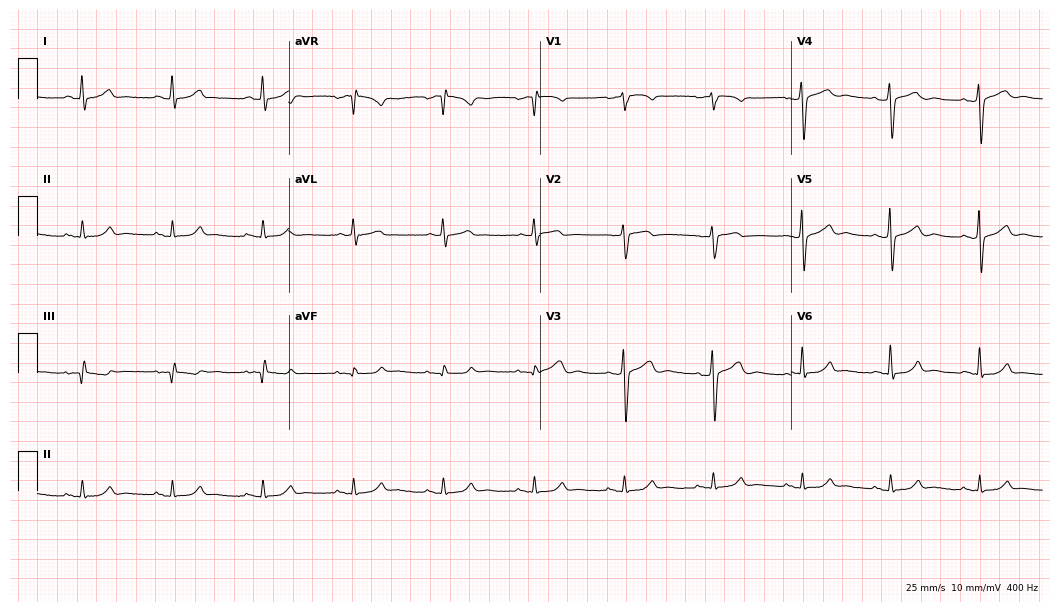
12-lead ECG from a 64-year-old female (10.2-second recording at 400 Hz). Recorded interpretation: within normal limits.